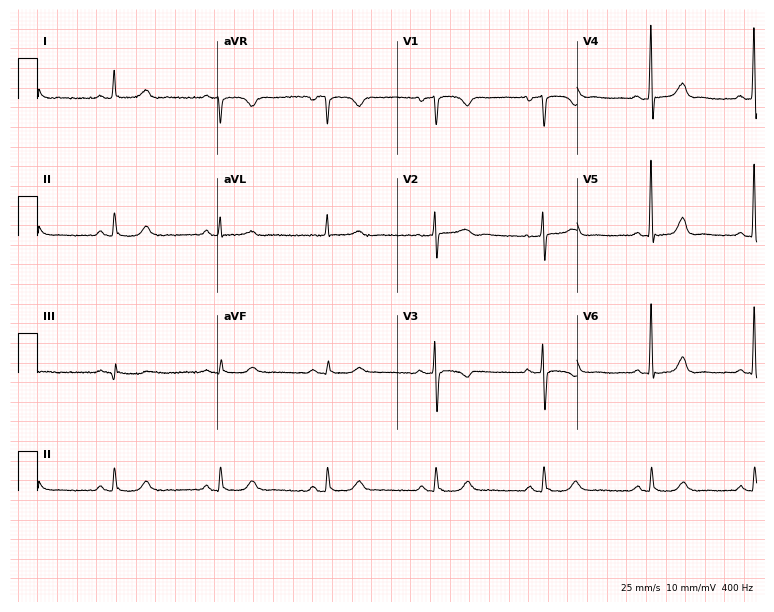
12-lead ECG from a 71-year-old female patient. Labelled as a normal ECG.